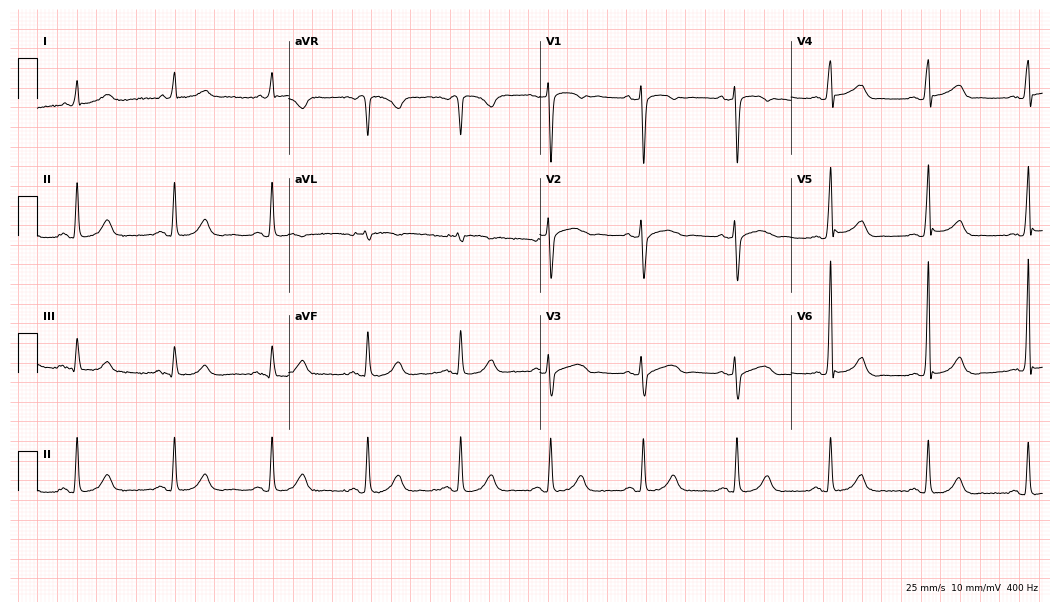
Resting 12-lead electrocardiogram. Patient: a female, 81 years old. Read as a normal ECG.